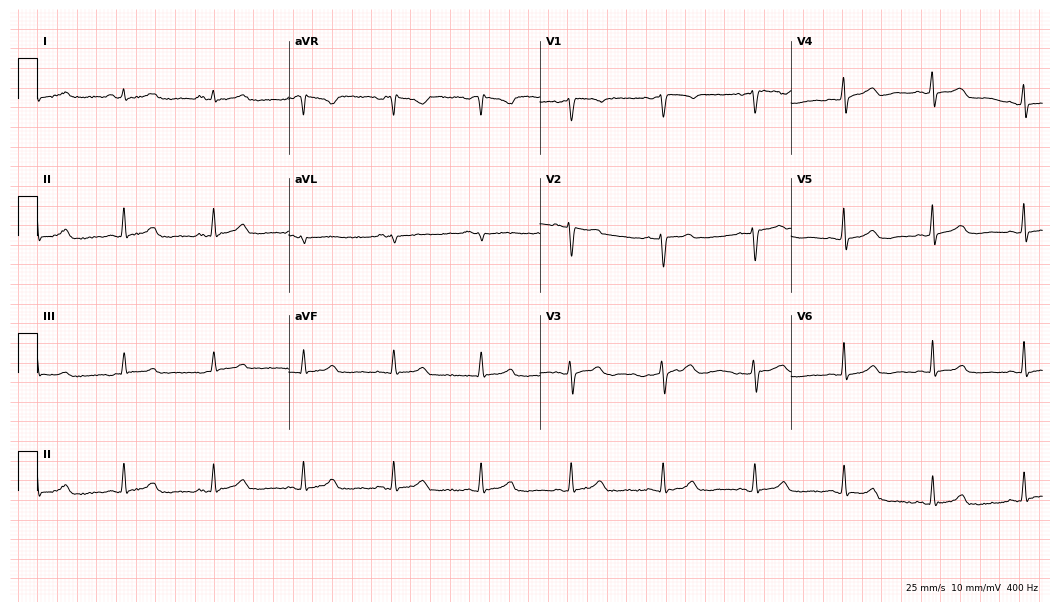
12-lead ECG from a woman, 52 years old (10.2-second recording at 400 Hz). Recorded interpretation: within normal limits.